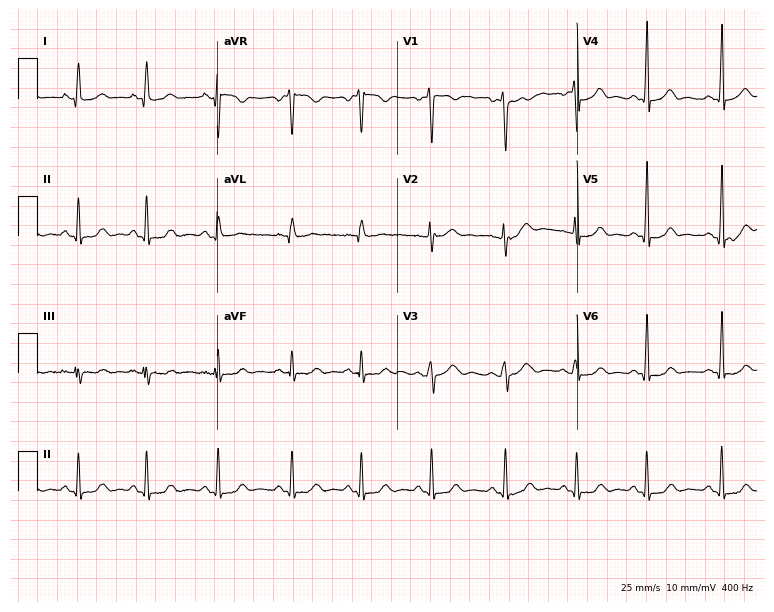
12-lead ECG (7.3-second recording at 400 Hz) from a 19-year-old female. Screened for six findings — first-degree AV block, right bundle branch block, left bundle branch block, sinus bradycardia, atrial fibrillation, sinus tachycardia — none is recorded. Other findings, if any, are not listed.